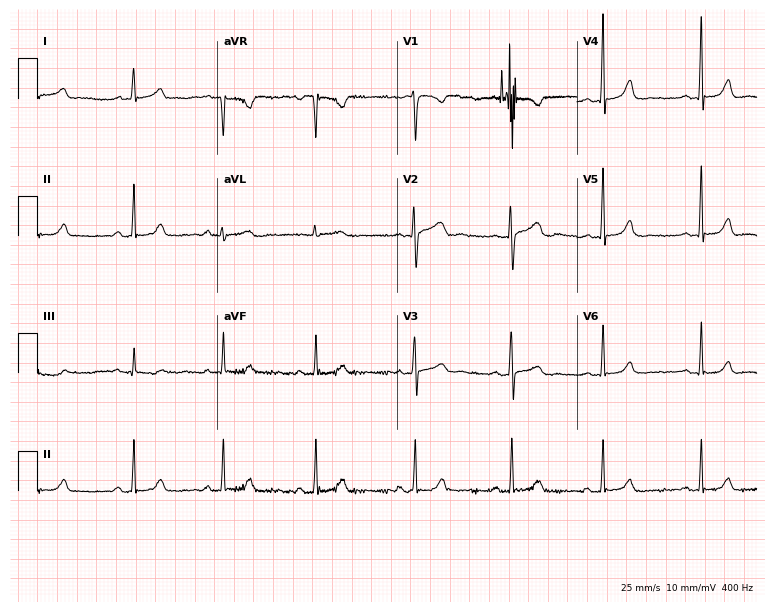
Standard 12-lead ECG recorded from a female, 29 years old. None of these six findings is recorded: first-degree AV block, right bundle branch block, left bundle branch block, sinus bradycardia, atrial fibrillation, sinus tachycardia.